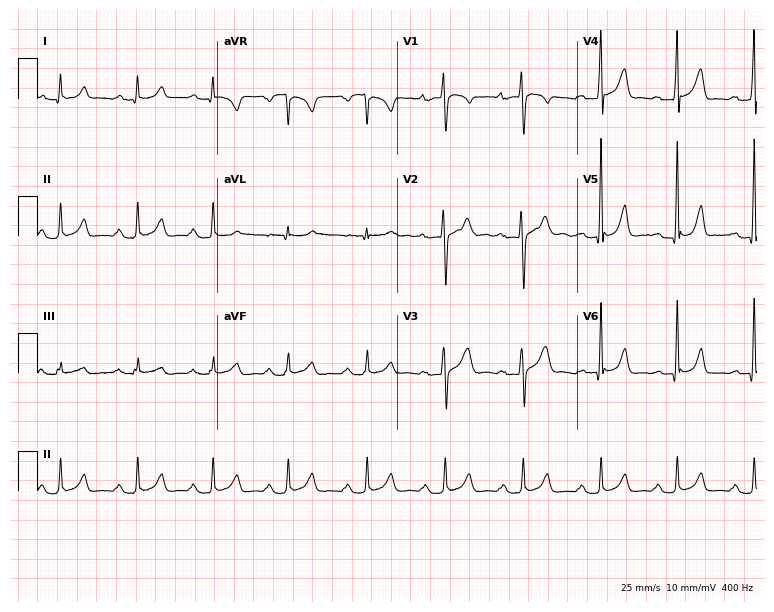
Resting 12-lead electrocardiogram (7.3-second recording at 400 Hz). Patient: a male, 29 years old. The tracing shows first-degree AV block.